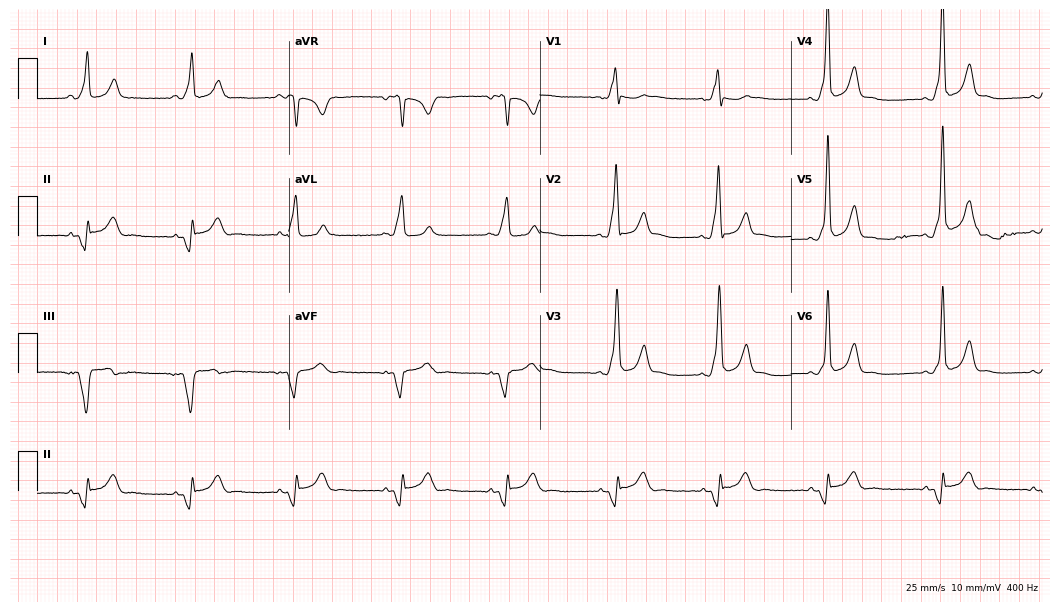
12-lead ECG (10.2-second recording at 400 Hz) from a 30-year-old male. Screened for six findings — first-degree AV block, right bundle branch block, left bundle branch block, sinus bradycardia, atrial fibrillation, sinus tachycardia — none is recorded.